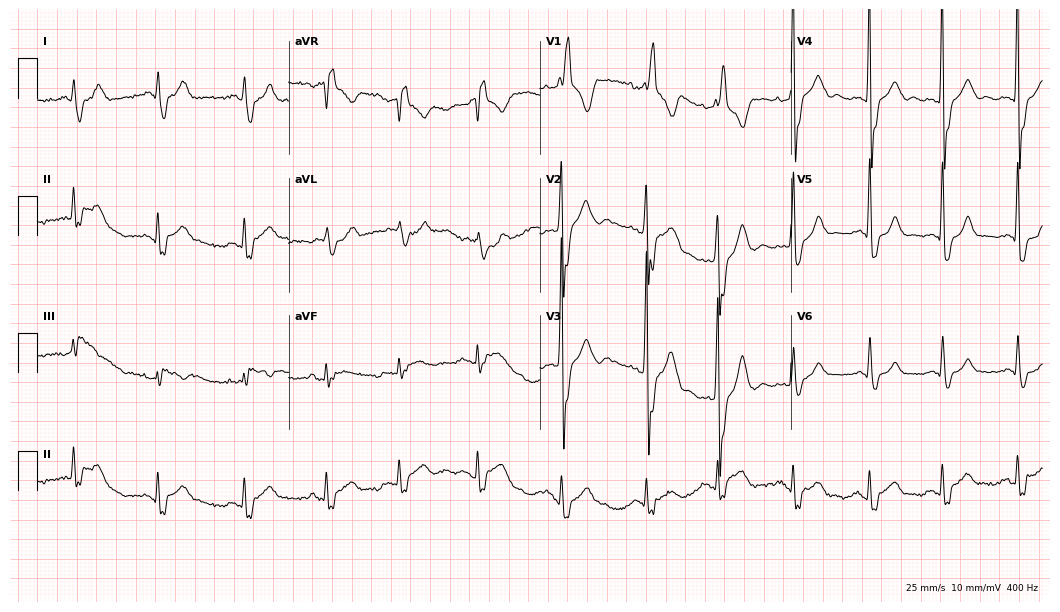
Standard 12-lead ECG recorded from a male, 26 years old. The tracing shows right bundle branch block.